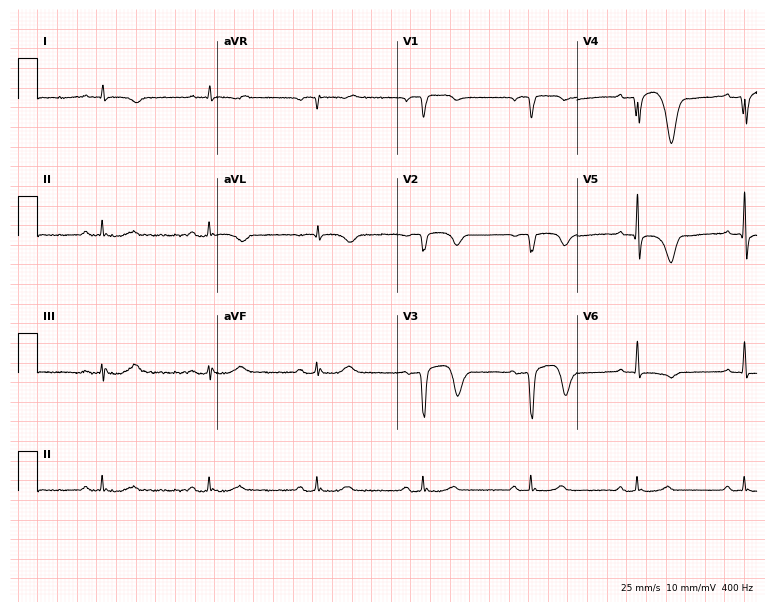
Standard 12-lead ECG recorded from a 79-year-old male patient (7.3-second recording at 400 Hz). None of these six findings is recorded: first-degree AV block, right bundle branch block (RBBB), left bundle branch block (LBBB), sinus bradycardia, atrial fibrillation (AF), sinus tachycardia. Other findings, if any, are not listed.